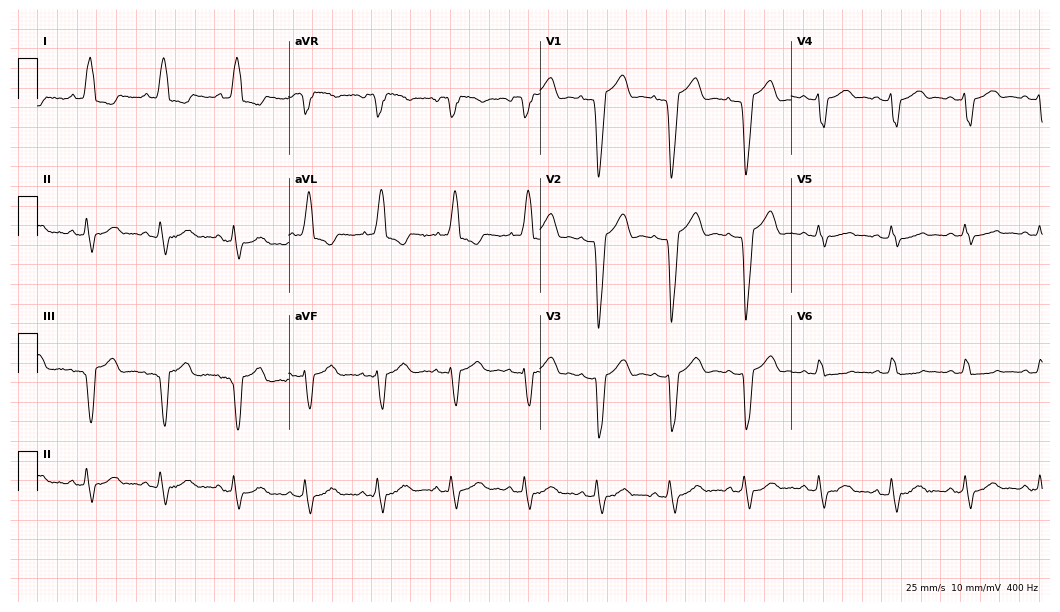
12-lead ECG from a 62-year-old woman. Shows left bundle branch block.